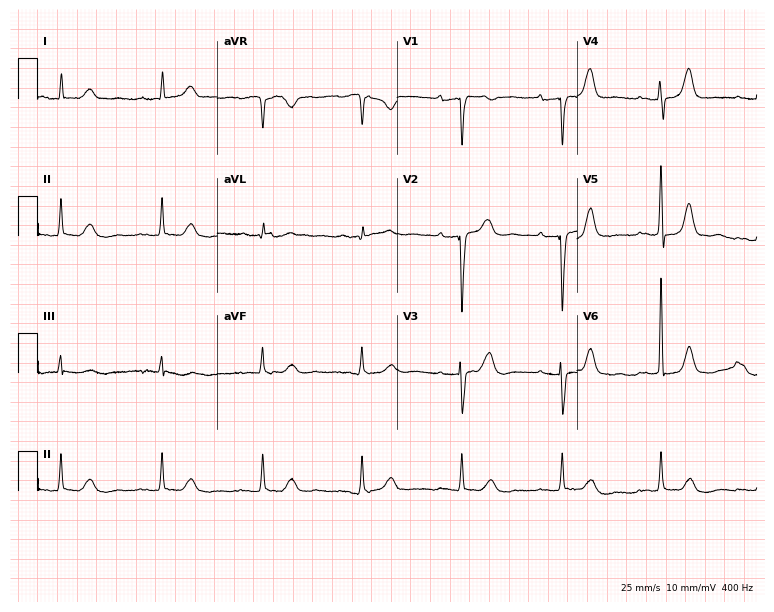
12-lead ECG from a female, 81 years old. Screened for six findings — first-degree AV block, right bundle branch block, left bundle branch block, sinus bradycardia, atrial fibrillation, sinus tachycardia — none is recorded. Findings outside these six are not listed.